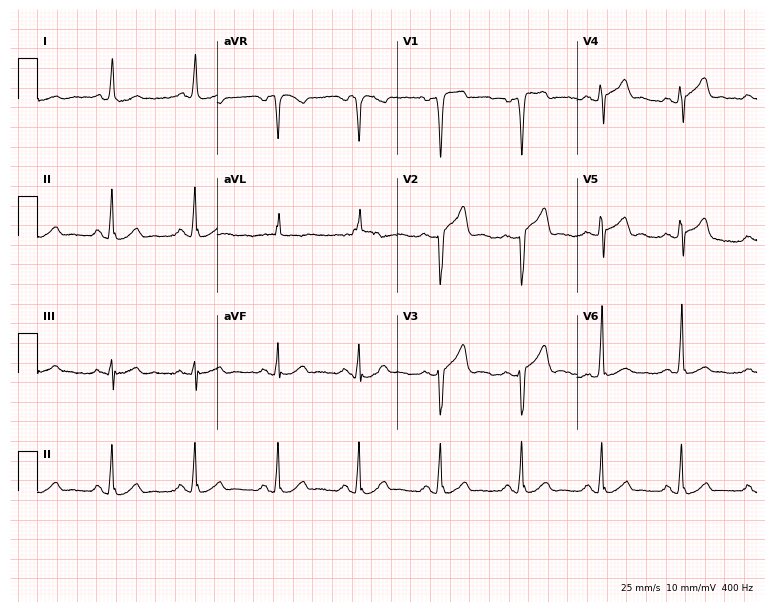
Resting 12-lead electrocardiogram. Patient: a female, 56 years old. Read as a normal ECG.